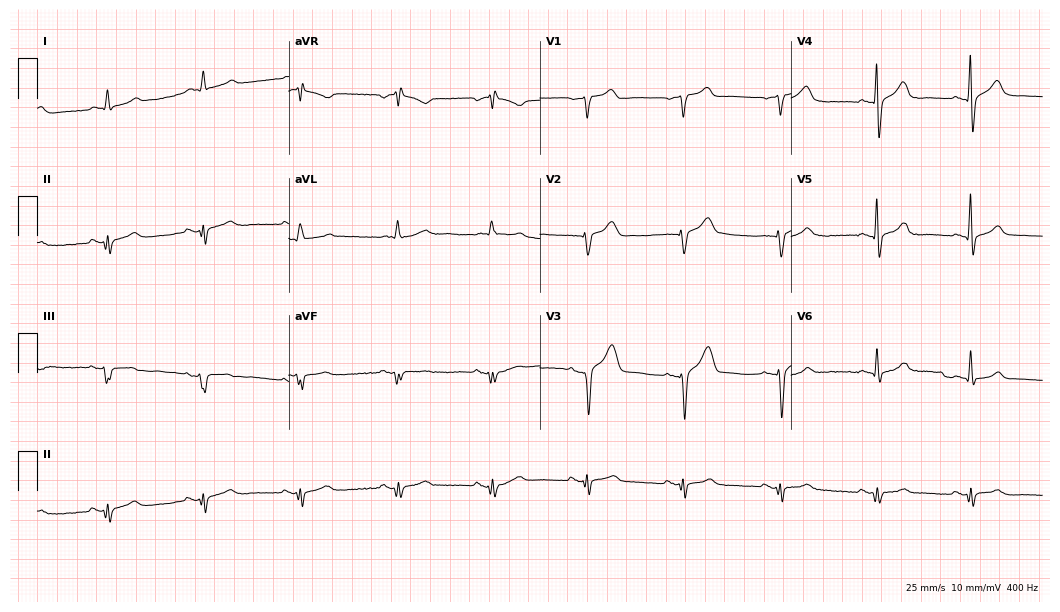
ECG (10.2-second recording at 400 Hz) — a 69-year-old man. Labelled as a normal ECG.